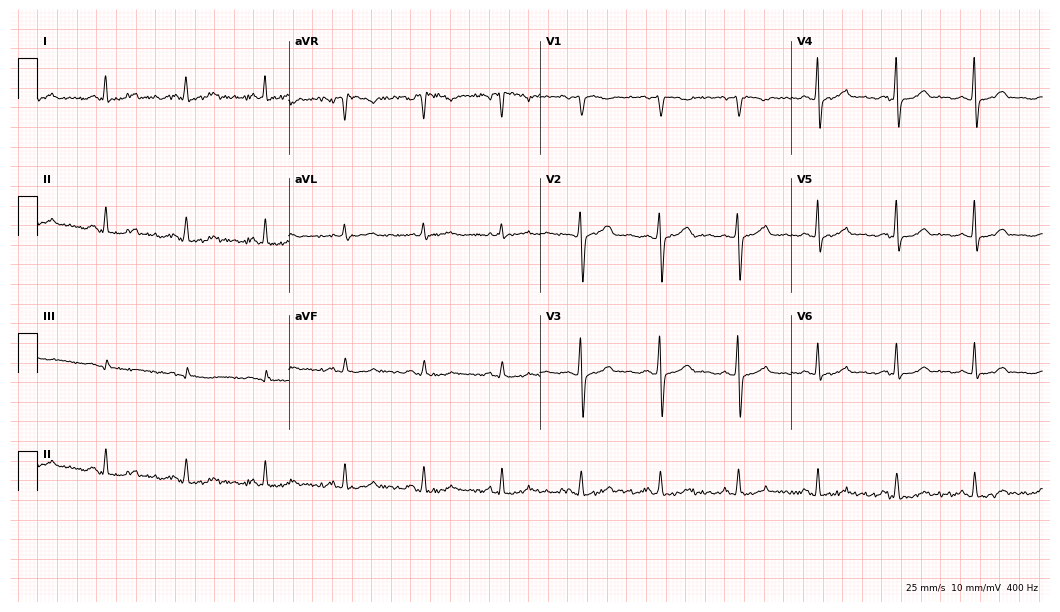
Standard 12-lead ECG recorded from a 39-year-old woman (10.2-second recording at 400 Hz). None of these six findings is recorded: first-degree AV block, right bundle branch block, left bundle branch block, sinus bradycardia, atrial fibrillation, sinus tachycardia. Findings outside these six are not listed.